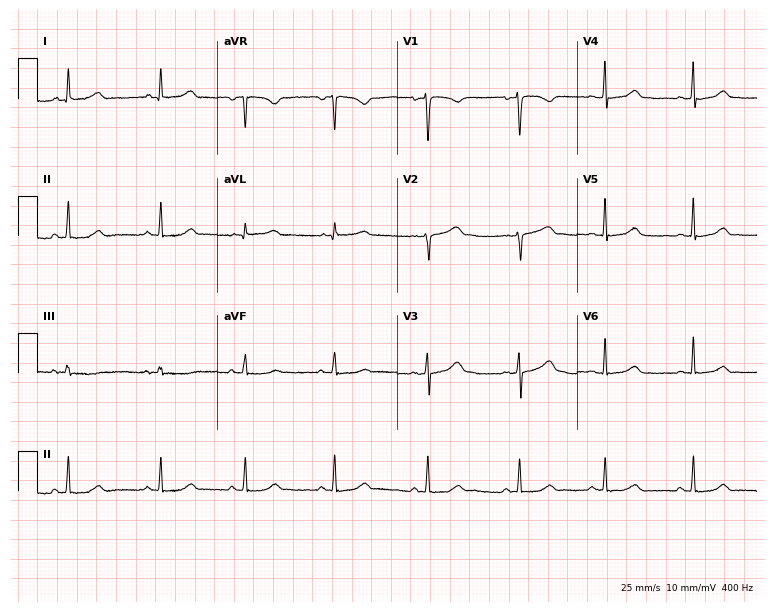
Electrocardiogram (7.3-second recording at 400 Hz), a 34-year-old male patient. Overall reading on record: normal ECG.